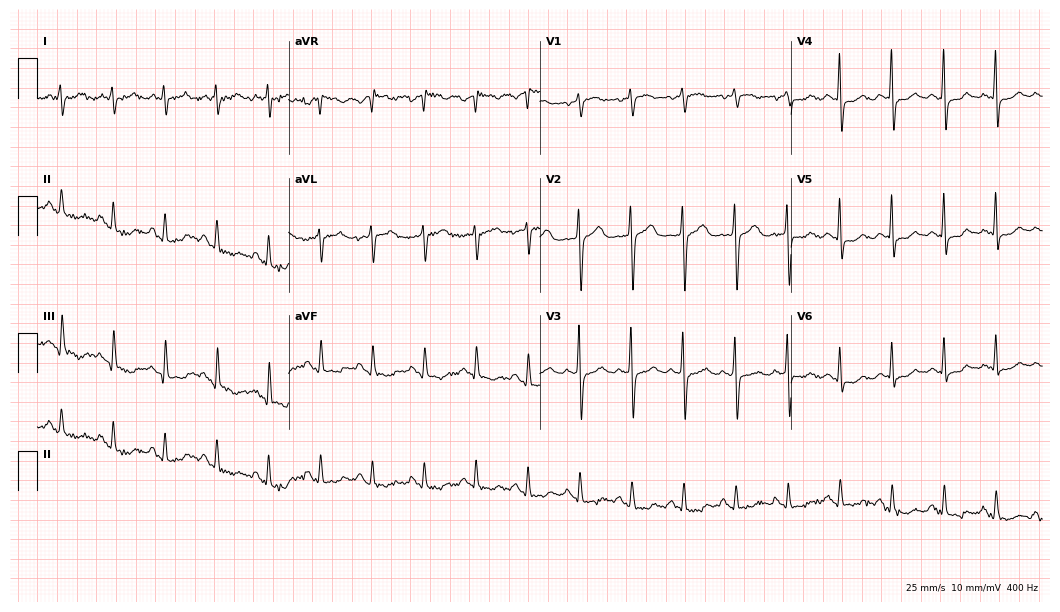
Standard 12-lead ECG recorded from a 60-year-old female patient (10.2-second recording at 400 Hz). The tracing shows sinus tachycardia (a sinus rate of 100 beats per minute or more).